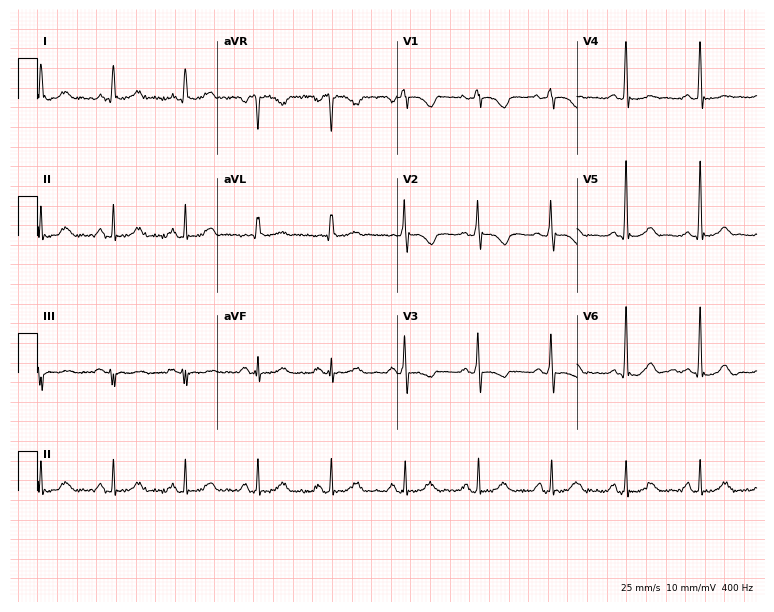
Resting 12-lead electrocardiogram. Patient: a 65-year-old woman. Read as a normal ECG.